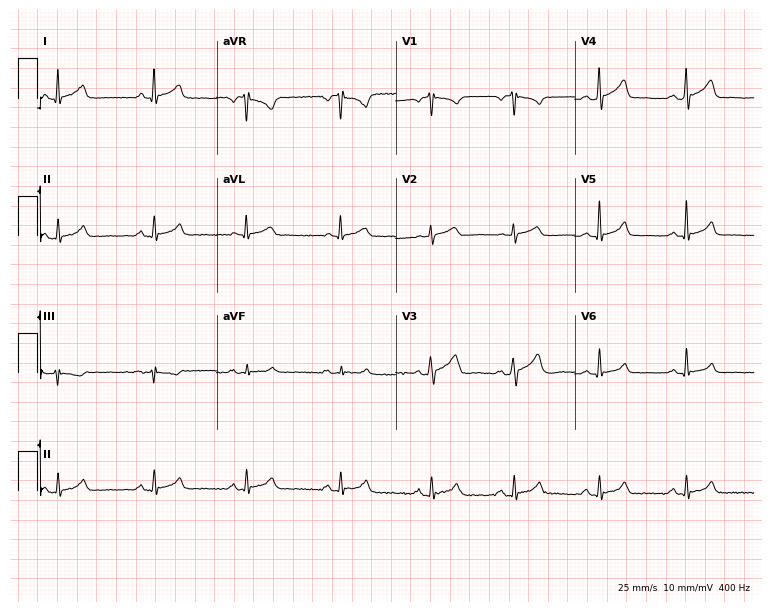
Electrocardiogram (7.3-second recording at 400 Hz), a 26-year-old man. Of the six screened findings (first-degree AV block, right bundle branch block, left bundle branch block, sinus bradycardia, atrial fibrillation, sinus tachycardia), none is recorded.